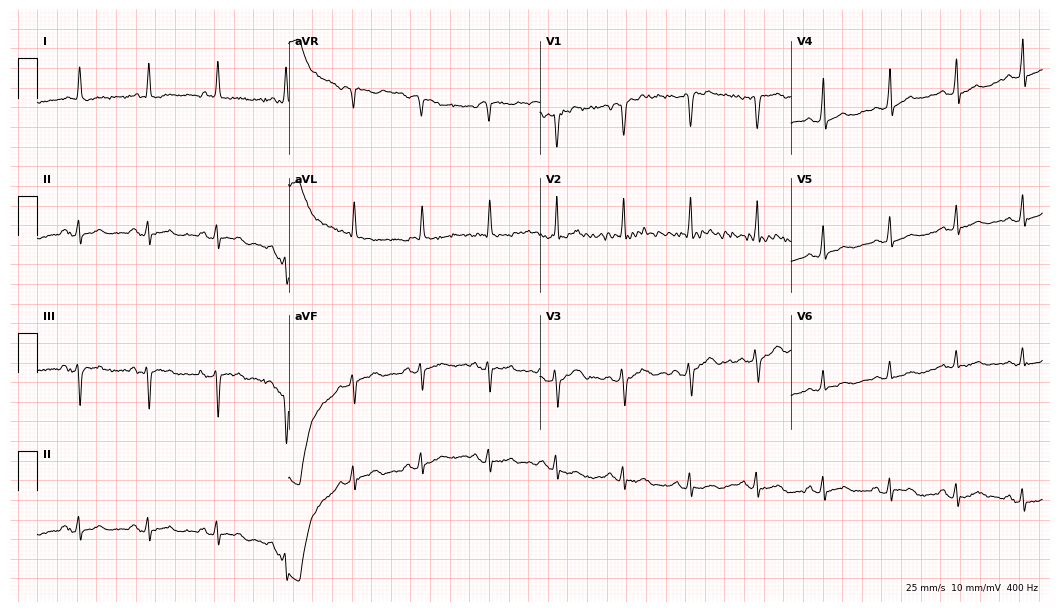
Electrocardiogram, a male patient, 65 years old. Of the six screened findings (first-degree AV block, right bundle branch block, left bundle branch block, sinus bradycardia, atrial fibrillation, sinus tachycardia), none is recorded.